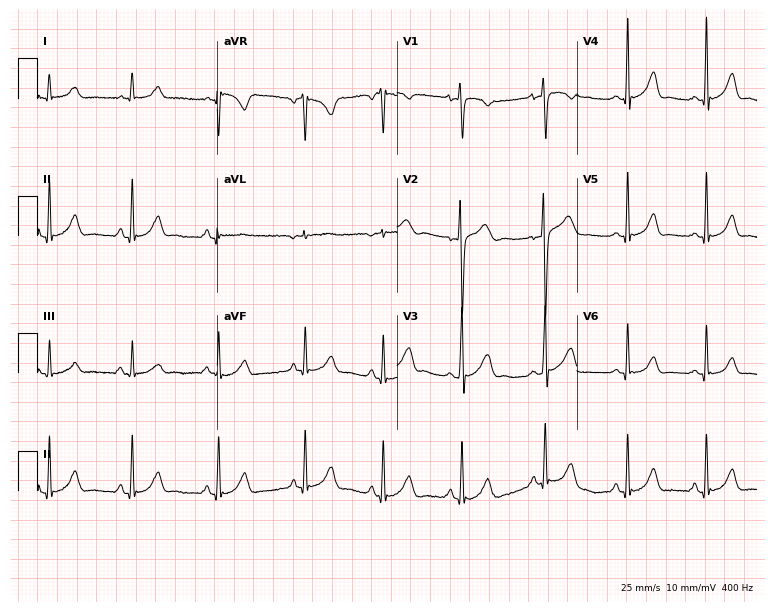
12-lead ECG from a 17-year-old woman. Recorded interpretation: within normal limits.